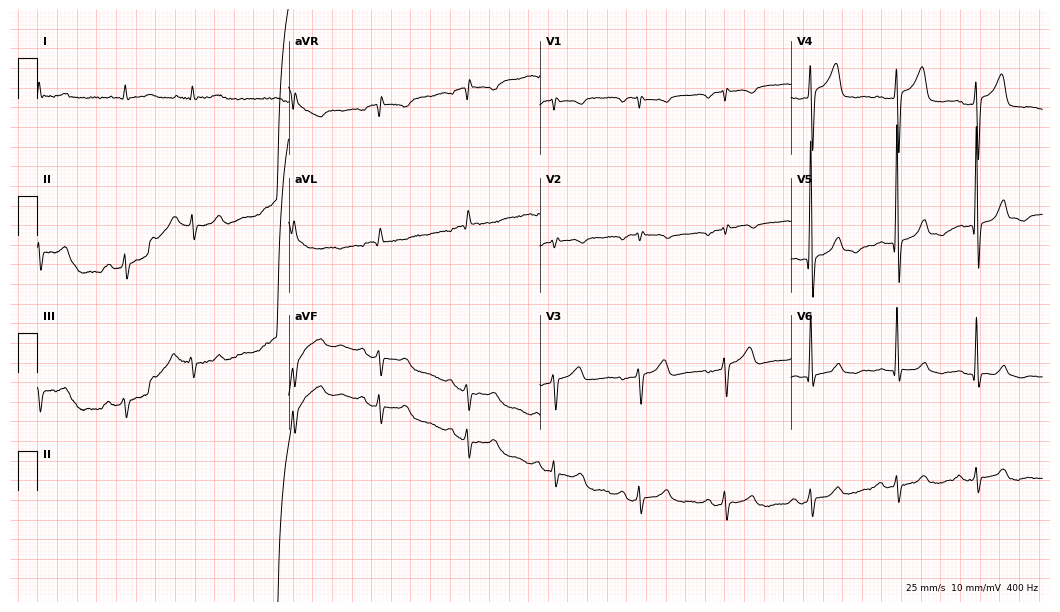
ECG — a 77-year-old man. Screened for six findings — first-degree AV block, right bundle branch block (RBBB), left bundle branch block (LBBB), sinus bradycardia, atrial fibrillation (AF), sinus tachycardia — none is recorded.